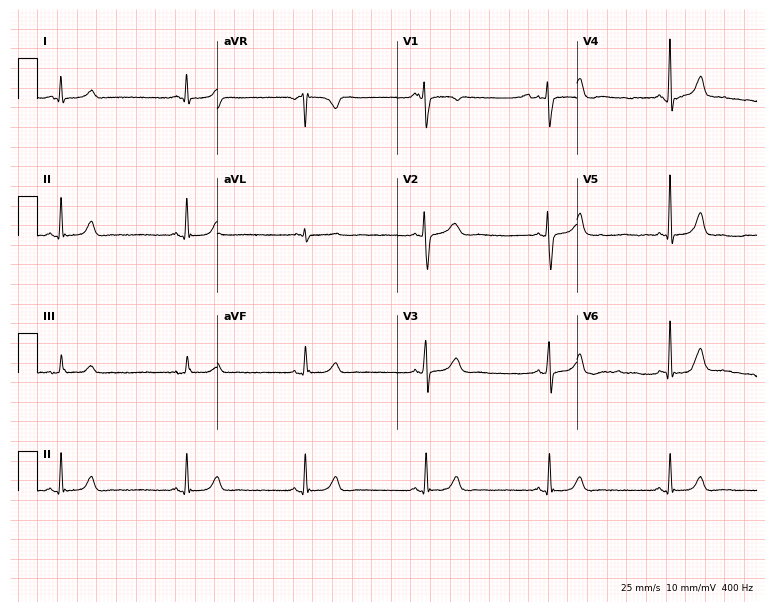
Resting 12-lead electrocardiogram. Patient: a 35-year-old female. Read as a normal ECG.